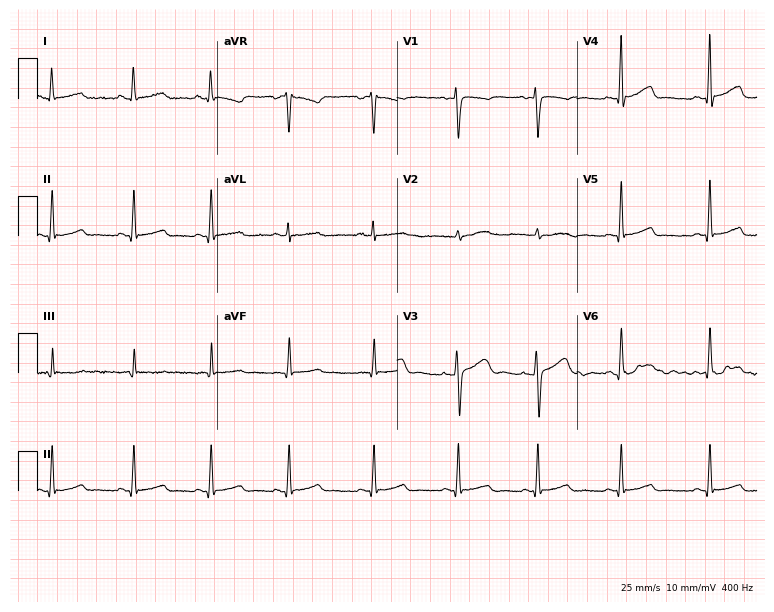
12-lead ECG (7.3-second recording at 400 Hz) from a 33-year-old woman. Labelled as a normal ECG.